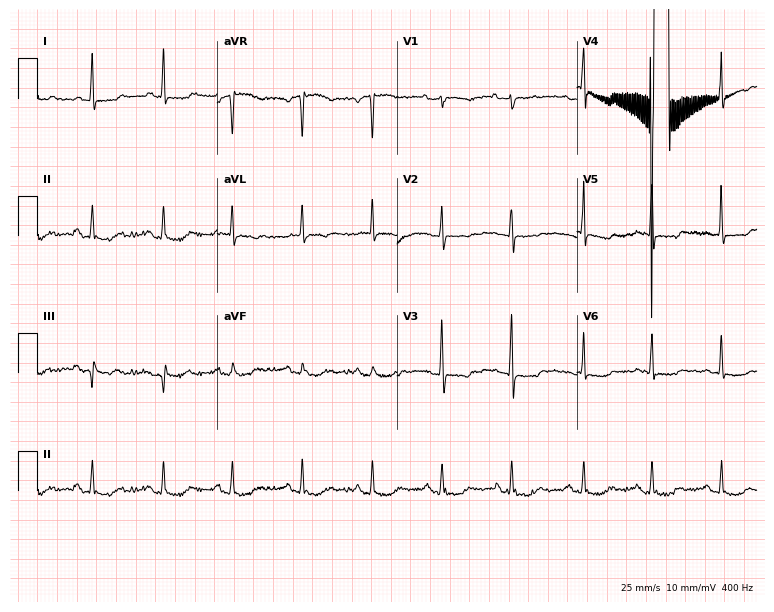
12-lead ECG from a female patient, 77 years old. Screened for six findings — first-degree AV block, right bundle branch block, left bundle branch block, sinus bradycardia, atrial fibrillation, sinus tachycardia — none is recorded.